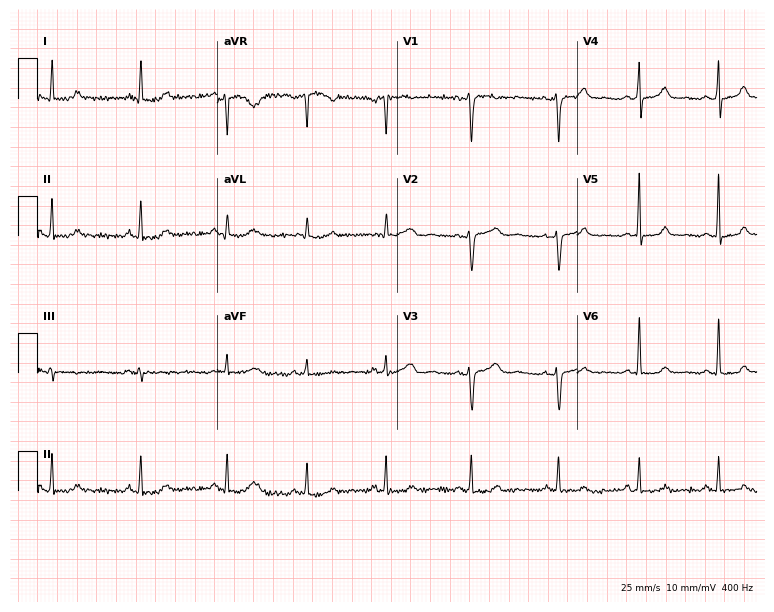
ECG — a 39-year-old female. Screened for six findings — first-degree AV block, right bundle branch block (RBBB), left bundle branch block (LBBB), sinus bradycardia, atrial fibrillation (AF), sinus tachycardia — none is recorded.